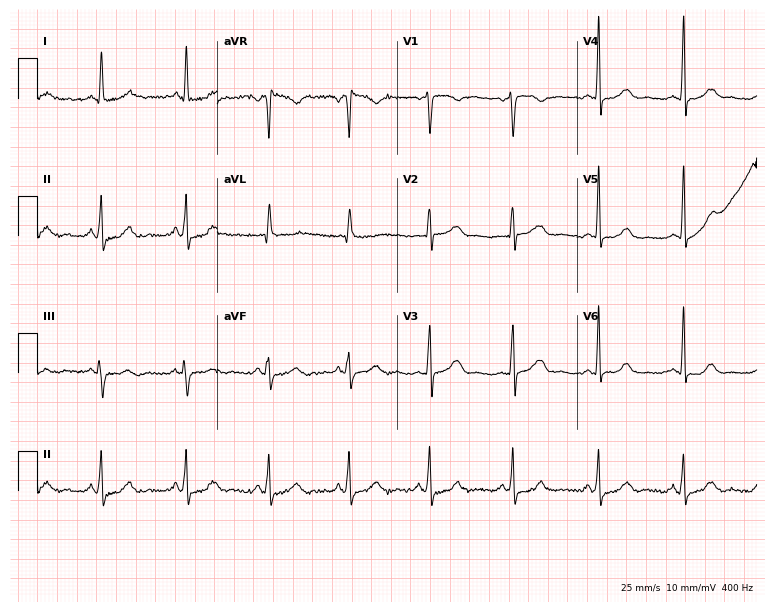
12-lead ECG (7.3-second recording at 400 Hz) from a 41-year-old woman. Screened for six findings — first-degree AV block, right bundle branch block, left bundle branch block, sinus bradycardia, atrial fibrillation, sinus tachycardia — none is recorded. Other findings, if any, are not listed.